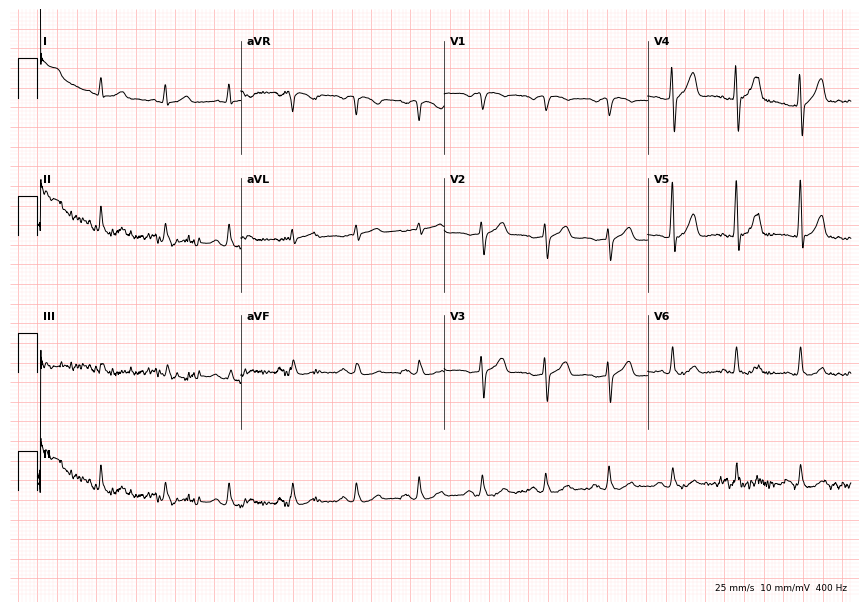
ECG — a male patient, 64 years old. Labelled as a normal ECG.